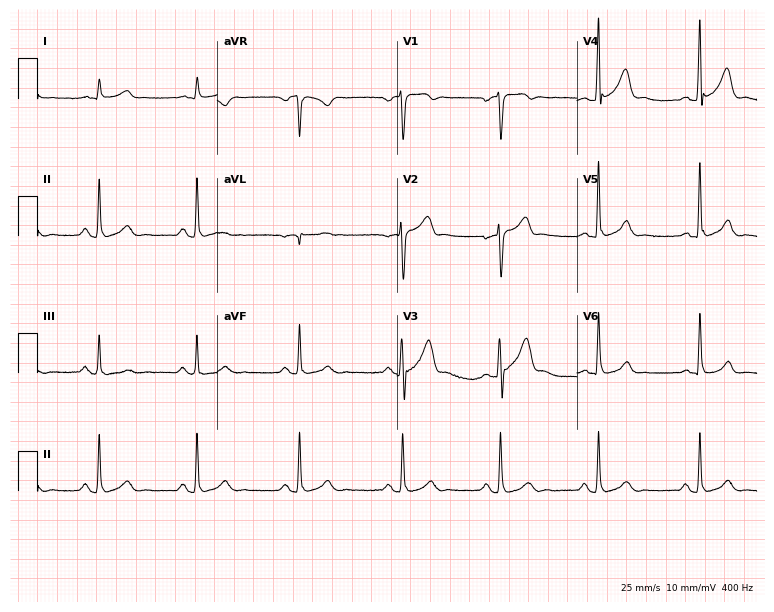
Electrocardiogram, a 51-year-old man. Overall reading on record: normal ECG.